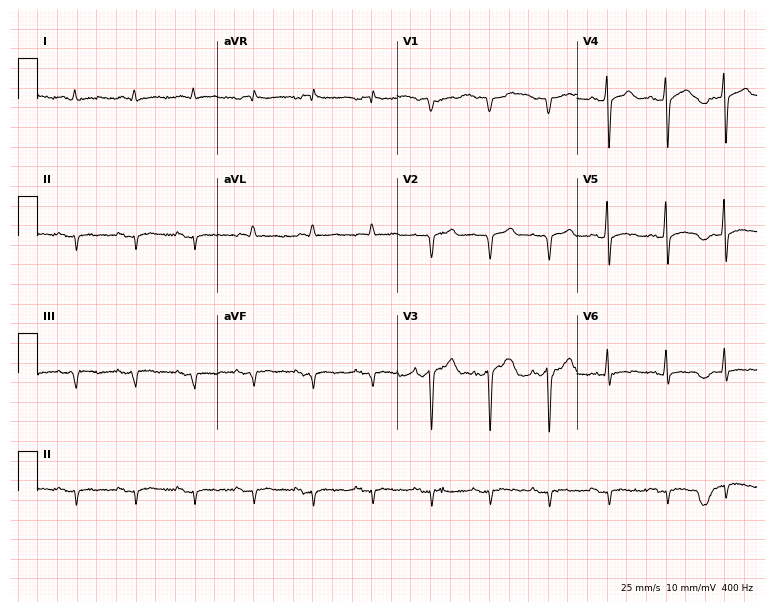
Standard 12-lead ECG recorded from a male, 64 years old (7.3-second recording at 400 Hz). None of these six findings is recorded: first-degree AV block, right bundle branch block, left bundle branch block, sinus bradycardia, atrial fibrillation, sinus tachycardia. Findings outside these six are not listed.